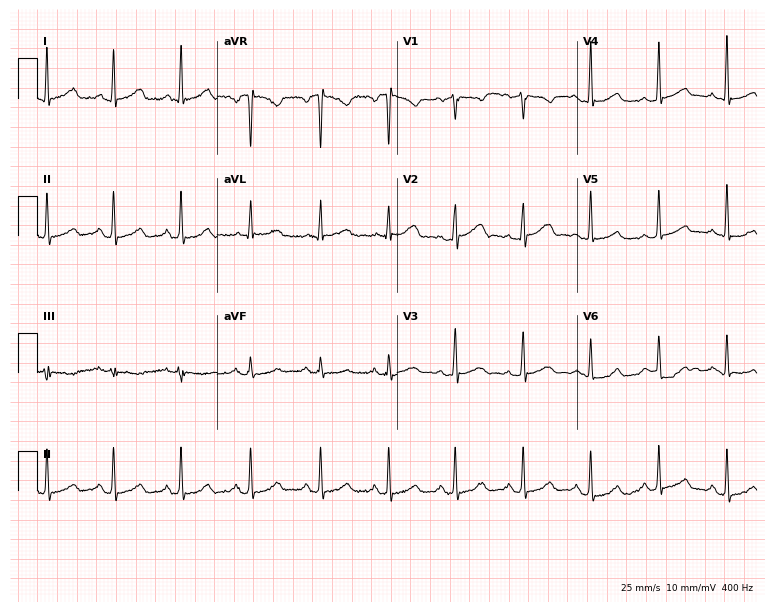
12-lead ECG (7.3-second recording at 400 Hz) from a woman, 50 years old. Labelled as a normal ECG.